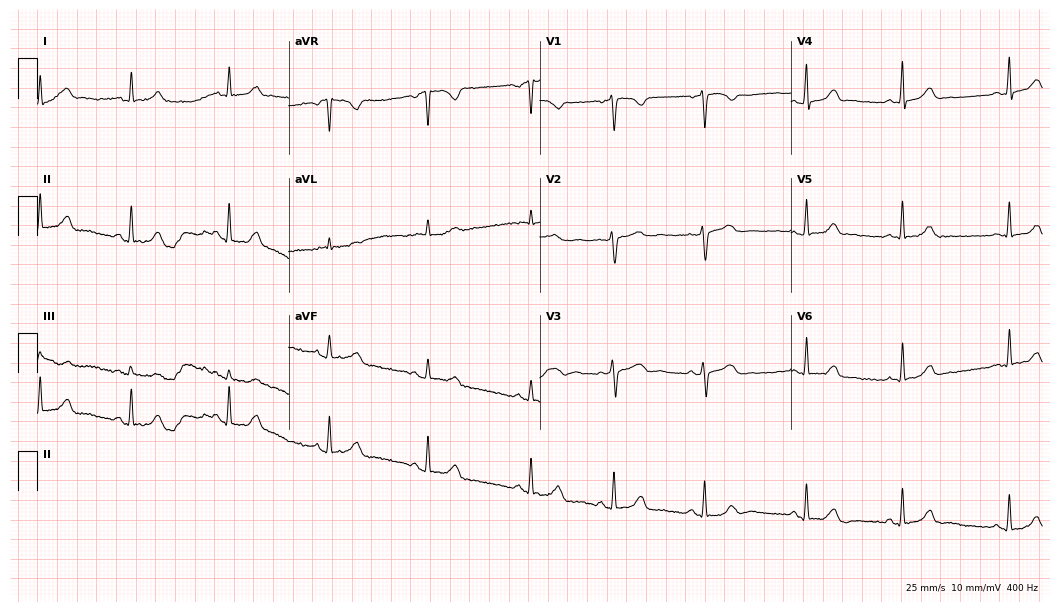
12-lead ECG from a female, 42 years old. No first-degree AV block, right bundle branch block, left bundle branch block, sinus bradycardia, atrial fibrillation or sinus tachycardia recorded for this tracing.